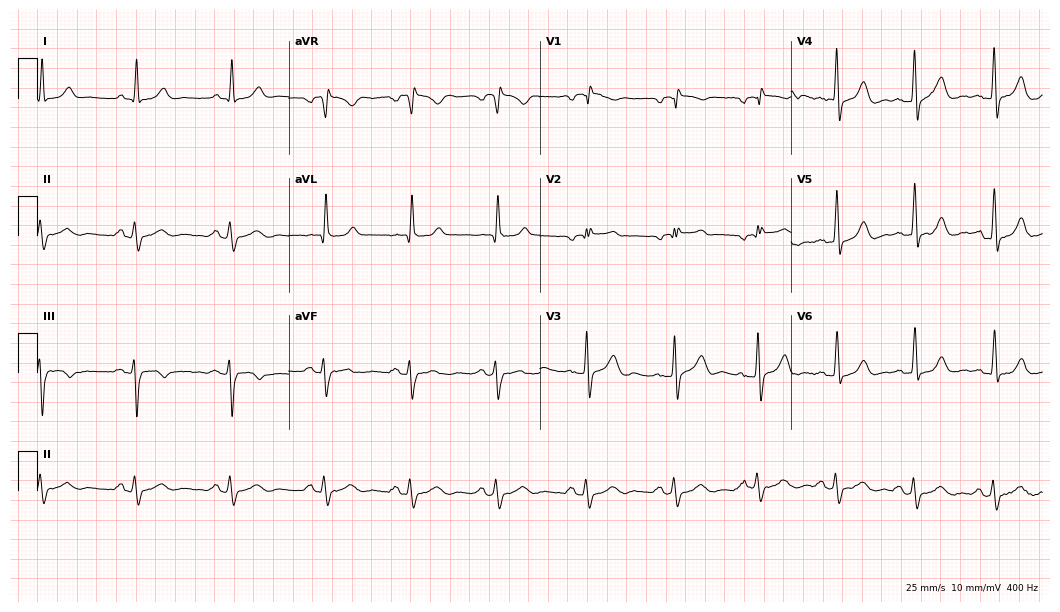
Standard 12-lead ECG recorded from a male patient, 64 years old (10.2-second recording at 400 Hz). None of these six findings is recorded: first-degree AV block, right bundle branch block (RBBB), left bundle branch block (LBBB), sinus bradycardia, atrial fibrillation (AF), sinus tachycardia. Only these six findings were labelled.